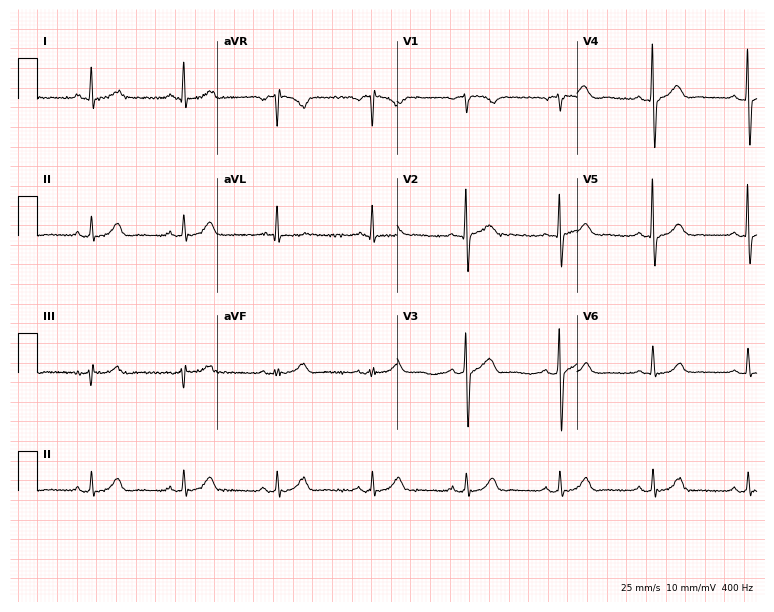
12-lead ECG (7.3-second recording at 400 Hz) from a male, 62 years old. Labelled as a normal ECG.